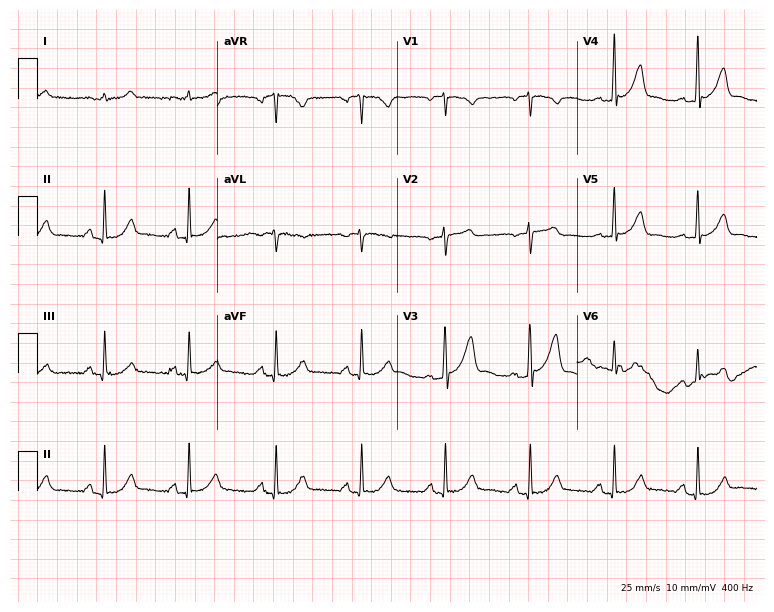
Electrocardiogram (7.3-second recording at 400 Hz), a 73-year-old man. Overall reading on record: normal ECG.